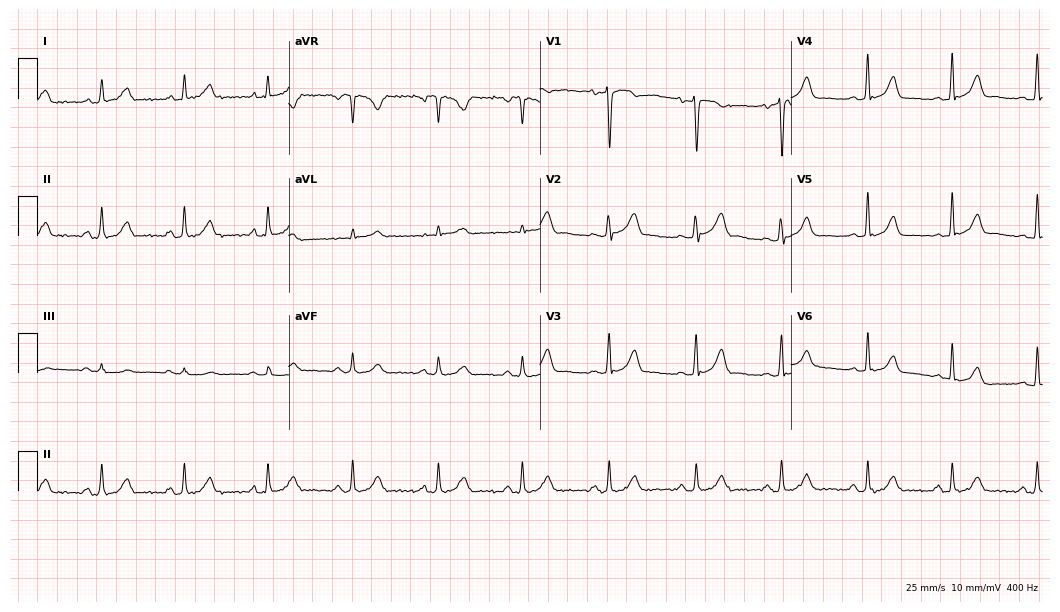
Resting 12-lead electrocardiogram. Patient: a 40-year-old man. Read as a normal ECG.